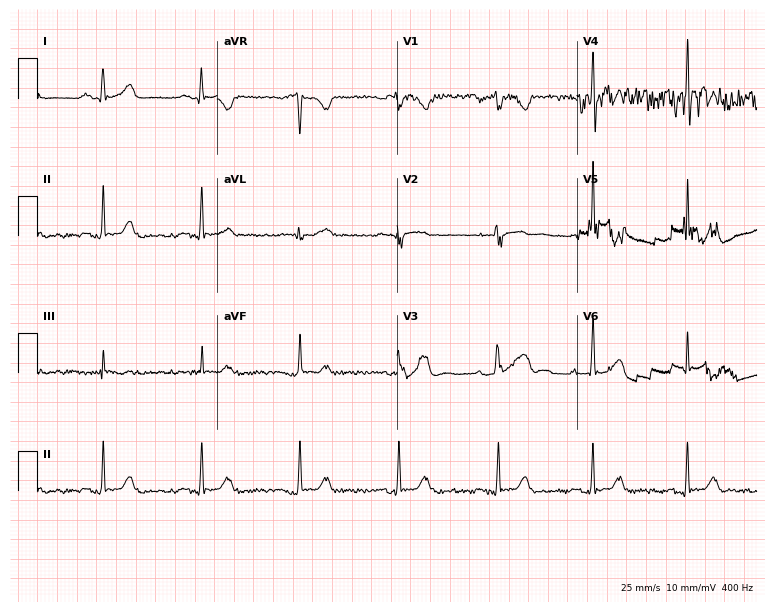
Resting 12-lead electrocardiogram (7.3-second recording at 400 Hz). Patient: a male, 51 years old. Read as a normal ECG.